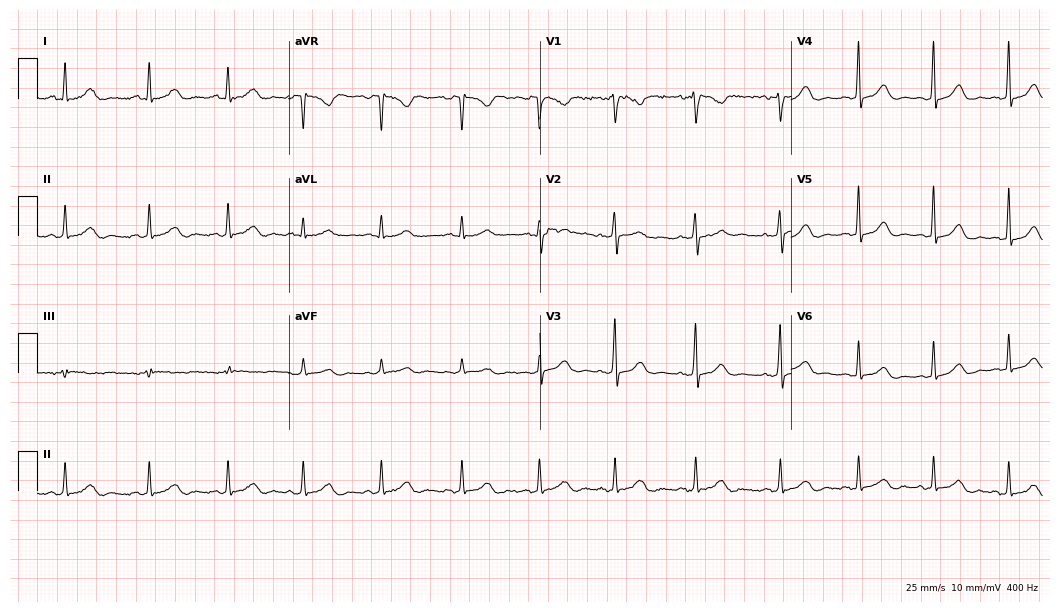
12-lead ECG from a female, 31 years old. Recorded interpretation: within normal limits.